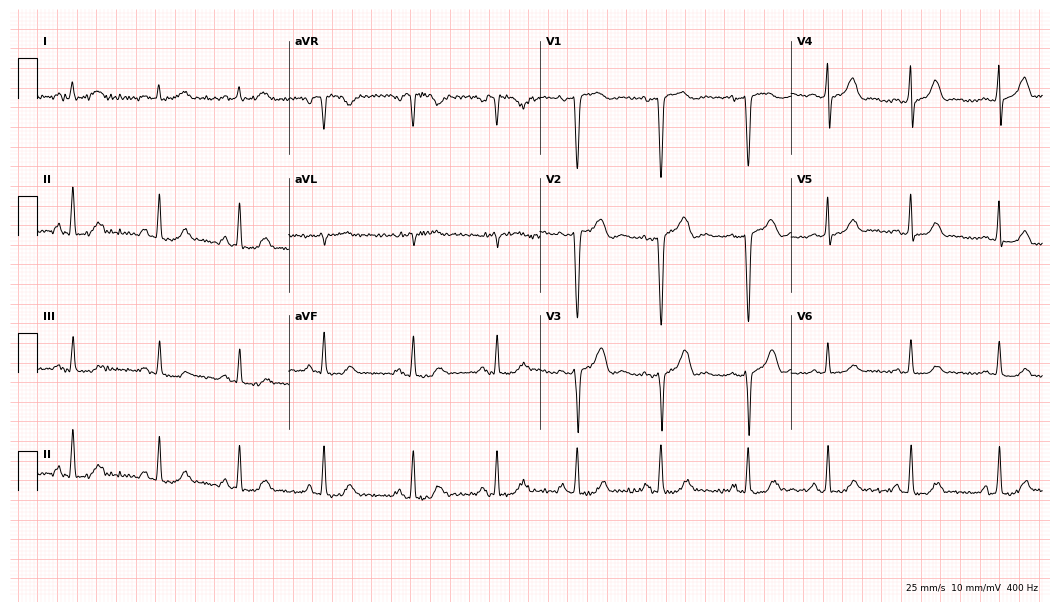
12-lead ECG from a woman, 50 years old. Recorded interpretation: within normal limits.